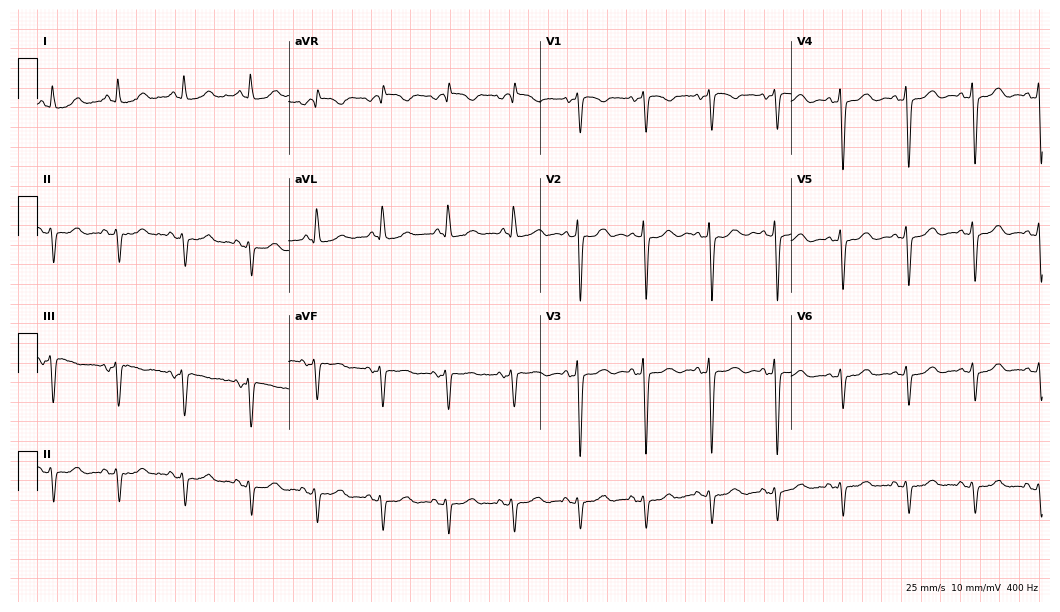
Electrocardiogram, a female, 80 years old. Of the six screened findings (first-degree AV block, right bundle branch block, left bundle branch block, sinus bradycardia, atrial fibrillation, sinus tachycardia), none is recorded.